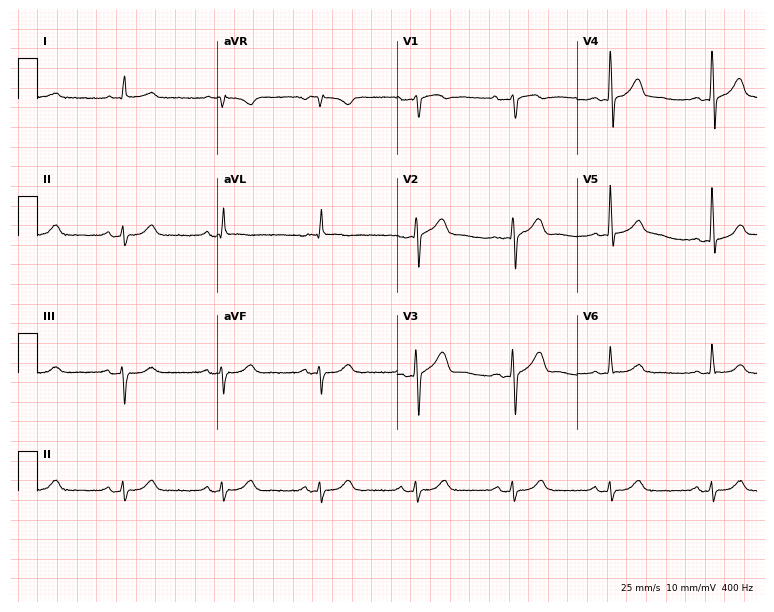
12-lead ECG from a 74-year-old male (7.3-second recording at 400 Hz). No first-degree AV block, right bundle branch block, left bundle branch block, sinus bradycardia, atrial fibrillation or sinus tachycardia recorded for this tracing. Findings outside these six are not listed.